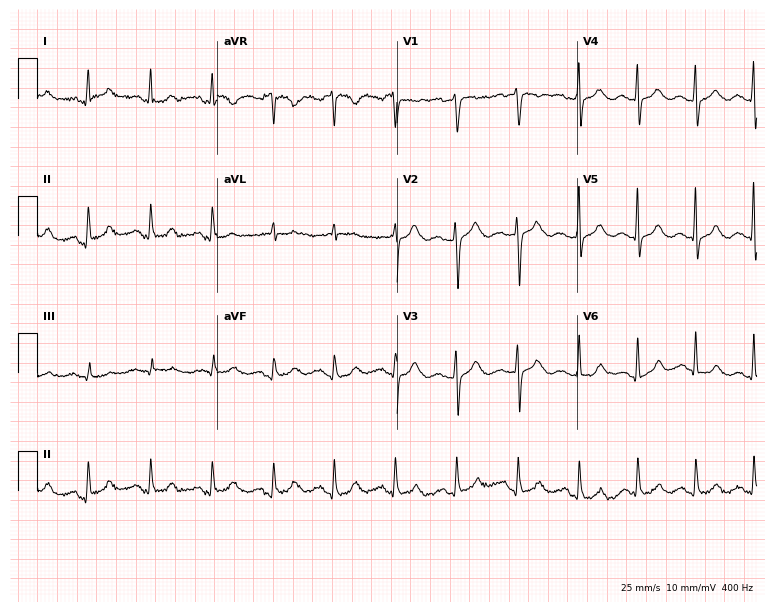
ECG (7.3-second recording at 400 Hz) — a 52-year-old woman. Screened for six findings — first-degree AV block, right bundle branch block (RBBB), left bundle branch block (LBBB), sinus bradycardia, atrial fibrillation (AF), sinus tachycardia — none is recorded. Only these six findings were labelled.